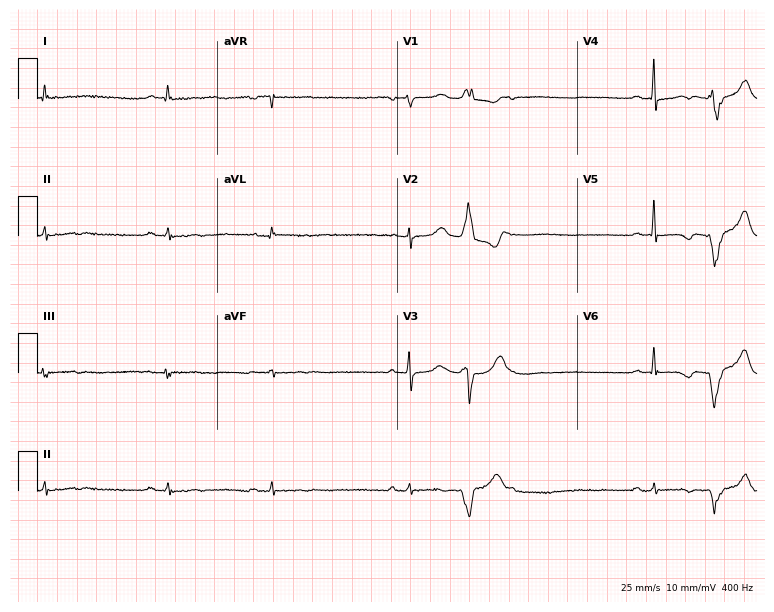
ECG — a 74-year-old man. Screened for six findings — first-degree AV block, right bundle branch block, left bundle branch block, sinus bradycardia, atrial fibrillation, sinus tachycardia — none is recorded. Only these six findings were labelled.